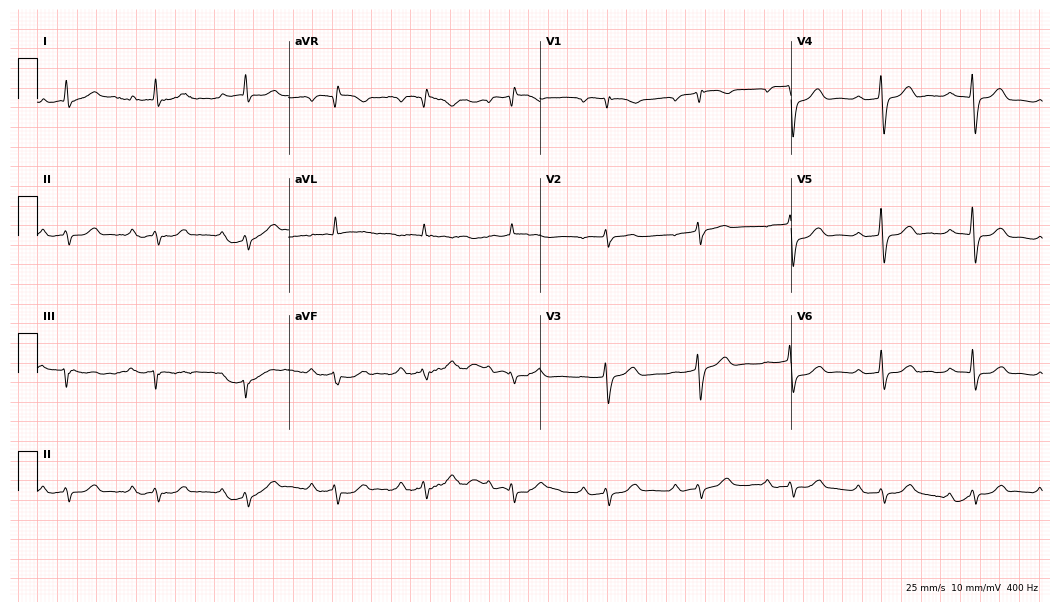
12-lead ECG (10.2-second recording at 400 Hz) from an 81-year-old woman. Findings include first-degree AV block.